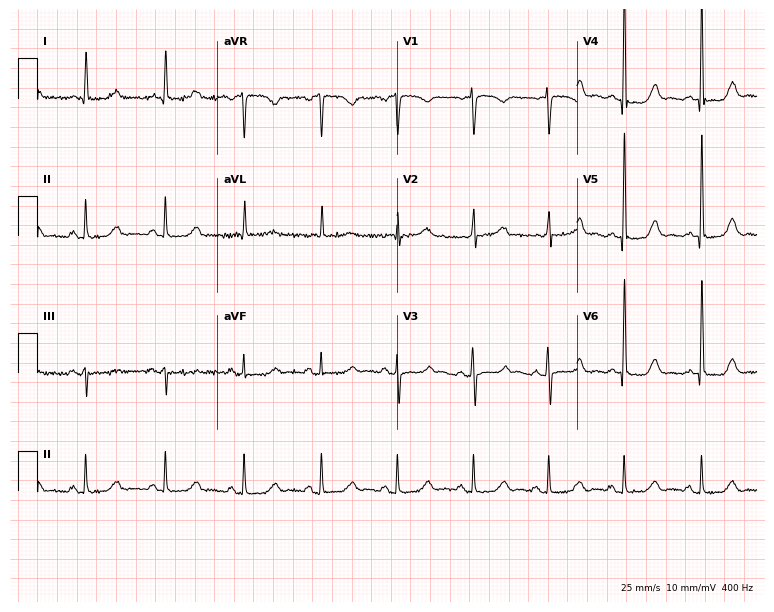
Resting 12-lead electrocardiogram (7.3-second recording at 400 Hz). Patient: a 58-year-old female. None of these six findings is recorded: first-degree AV block, right bundle branch block, left bundle branch block, sinus bradycardia, atrial fibrillation, sinus tachycardia. Findings outside these six are not listed.